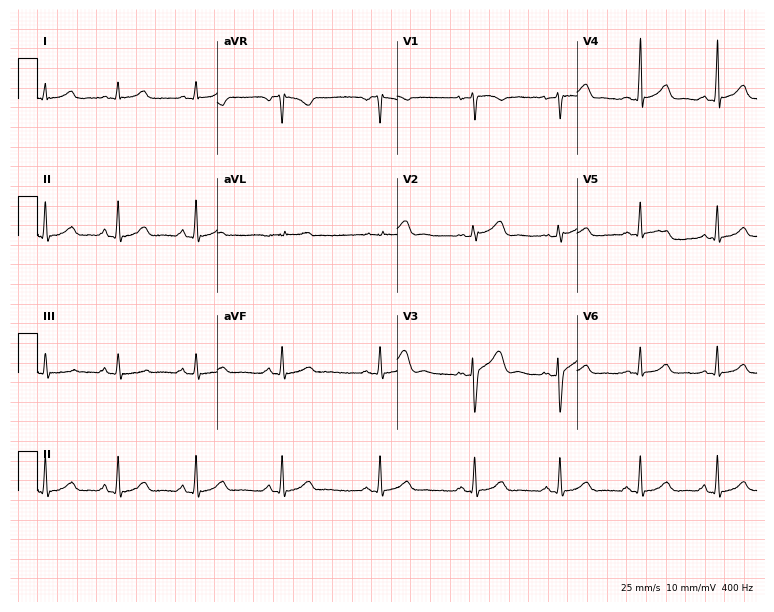
Electrocardiogram (7.3-second recording at 400 Hz), a female patient, 28 years old. Overall reading on record: normal ECG.